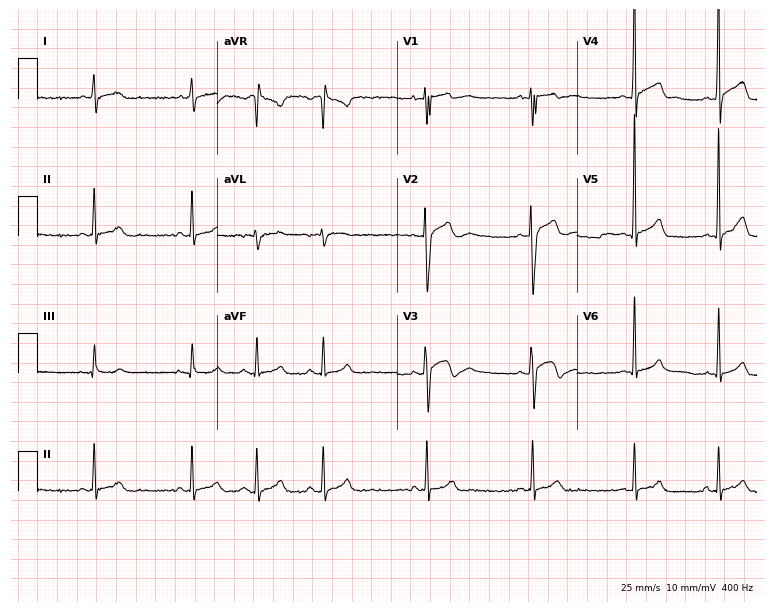
12-lead ECG from a man, 22 years old (7.3-second recording at 400 Hz). No first-degree AV block, right bundle branch block, left bundle branch block, sinus bradycardia, atrial fibrillation or sinus tachycardia recorded for this tracing. Other findings, if any, are not listed.